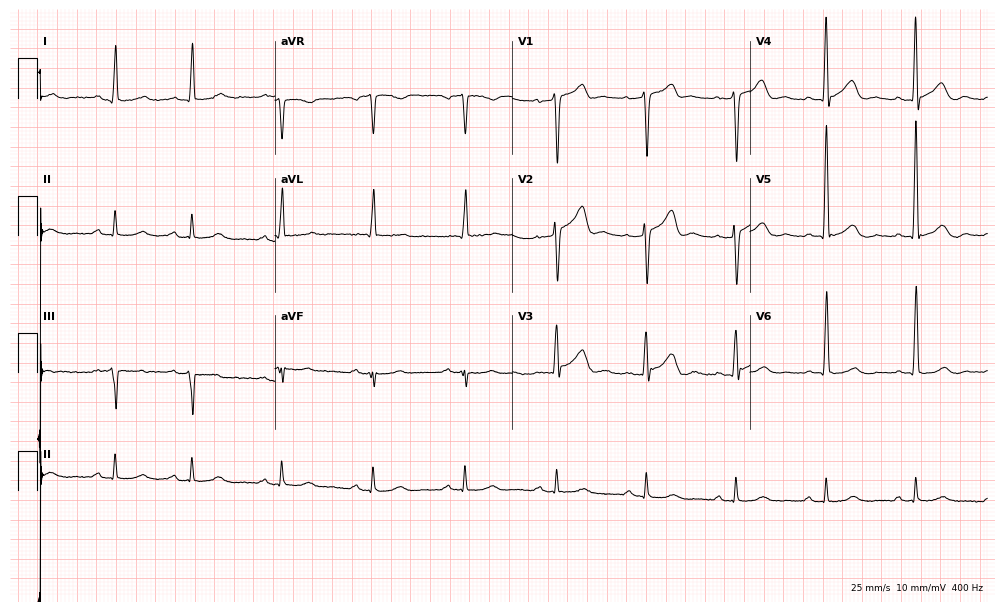
Electrocardiogram (9.7-second recording at 400 Hz), a 72-year-old man. Of the six screened findings (first-degree AV block, right bundle branch block (RBBB), left bundle branch block (LBBB), sinus bradycardia, atrial fibrillation (AF), sinus tachycardia), none is recorded.